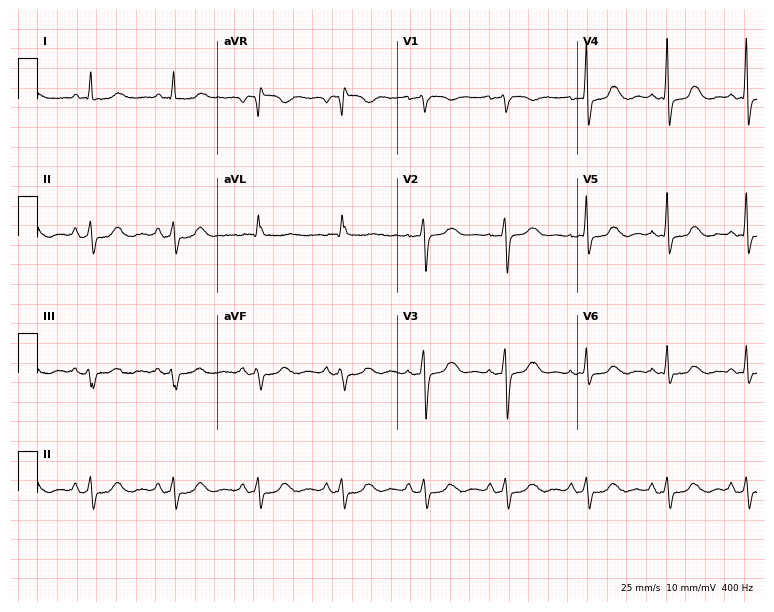
12-lead ECG from a 75-year-old female patient (7.3-second recording at 400 Hz). Recorded interpretation: within normal limits.